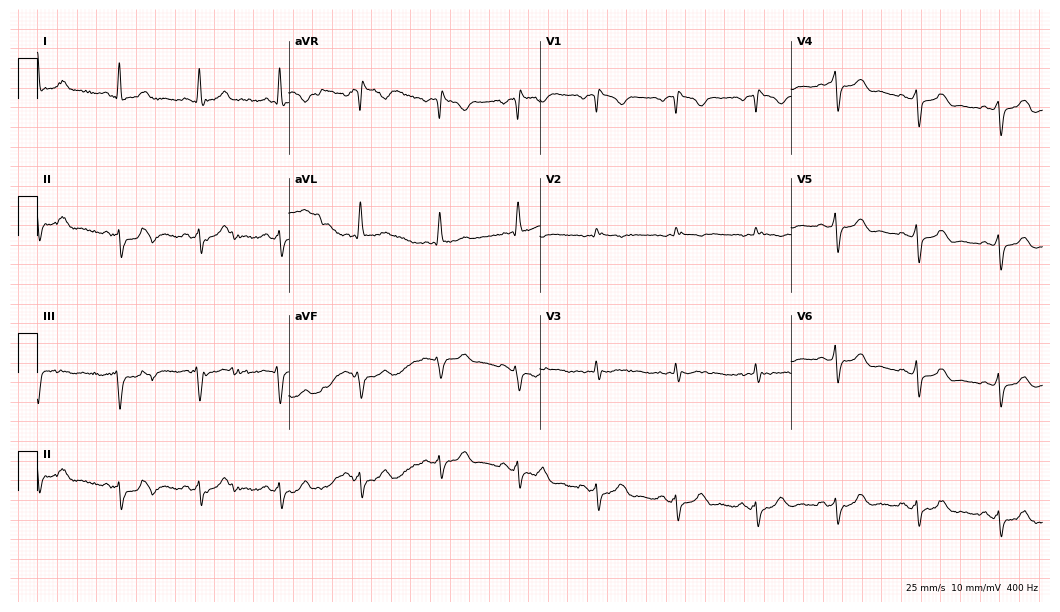
Electrocardiogram, a female, 62 years old. Of the six screened findings (first-degree AV block, right bundle branch block, left bundle branch block, sinus bradycardia, atrial fibrillation, sinus tachycardia), none is recorded. Findings outside these six are not listed.